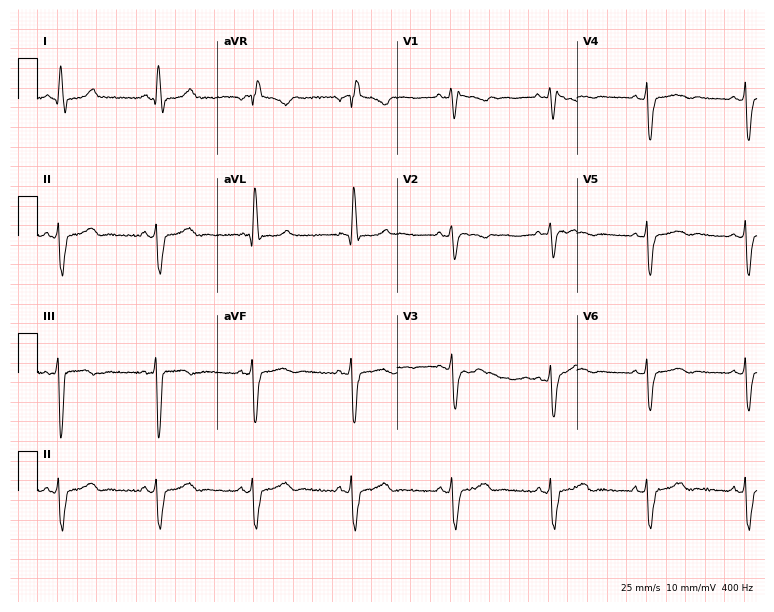
12-lead ECG from a 62-year-old female patient (7.3-second recording at 400 Hz). Shows right bundle branch block.